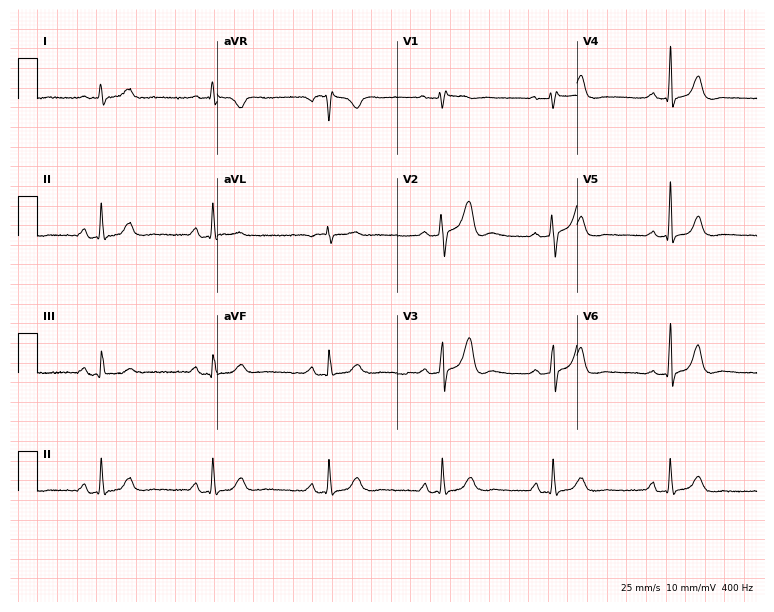
12-lead ECG (7.3-second recording at 400 Hz) from a 53-year-old female. Labelled as a normal ECG.